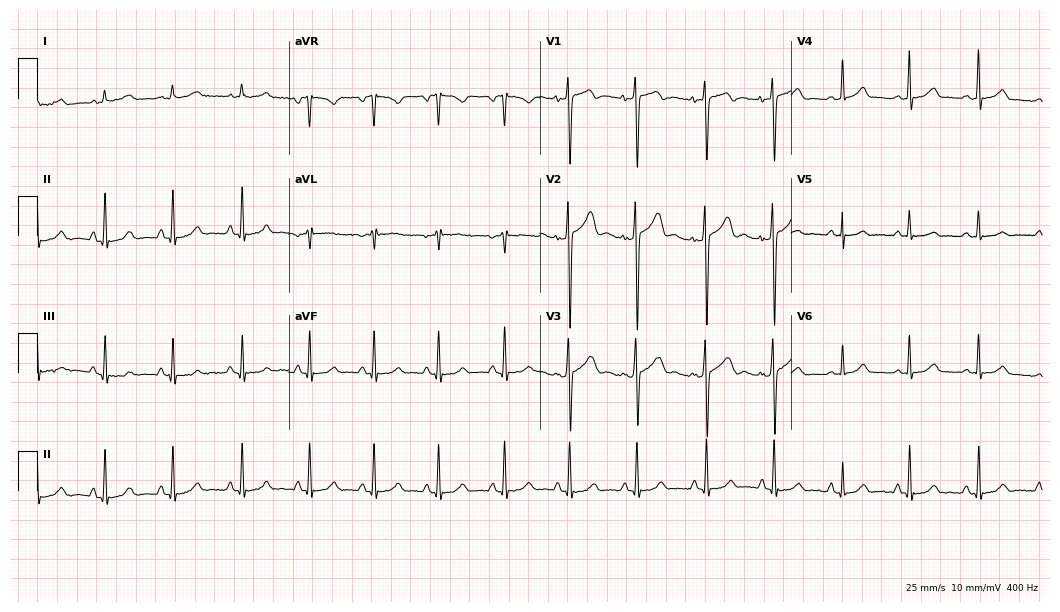
Standard 12-lead ECG recorded from a male patient, 21 years old. Read as a normal ECG.